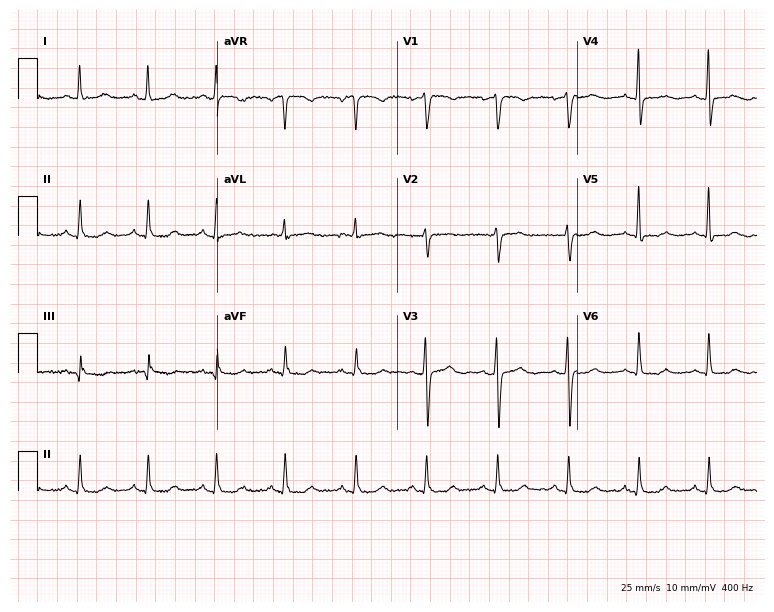
ECG — a female patient, 60 years old. Labelled as a normal ECG.